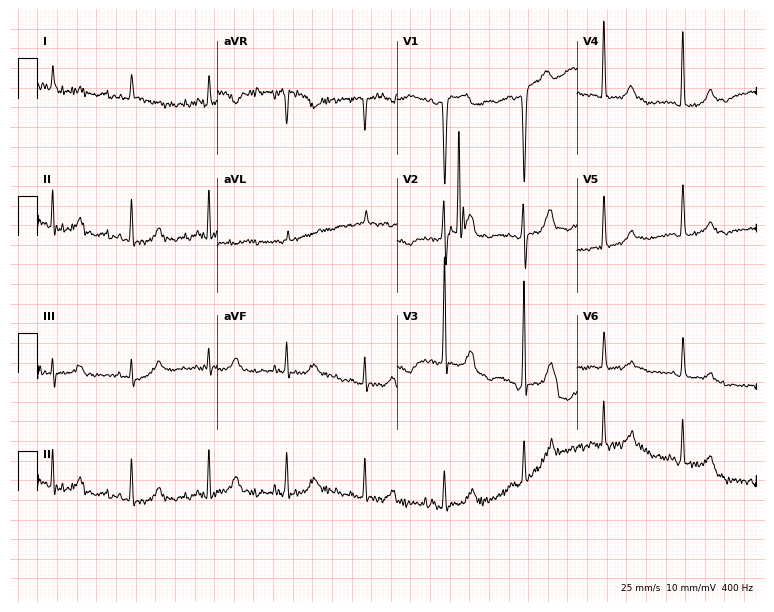
Standard 12-lead ECG recorded from a female, 80 years old. None of these six findings is recorded: first-degree AV block, right bundle branch block, left bundle branch block, sinus bradycardia, atrial fibrillation, sinus tachycardia.